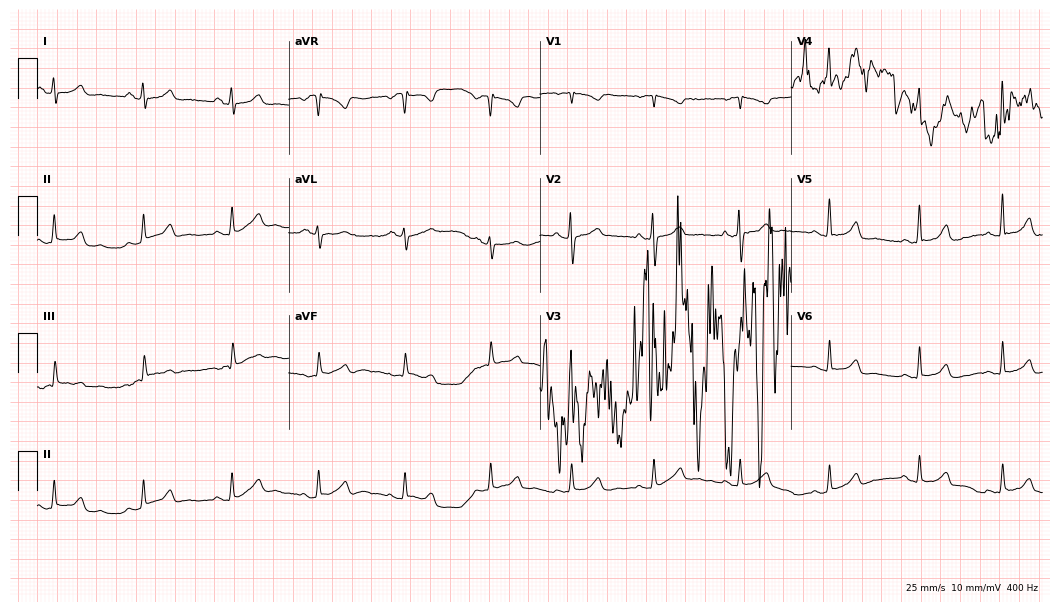
Standard 12-lead ECG recorded from a 25-year-old woman (10.2-second recording at 400 Hz). None of these six findings is recorded: first-degree AV block, right bundle branch block, left bundle branch block, sinus bradycardia, atrial fibrillation, sinus tachycardia.